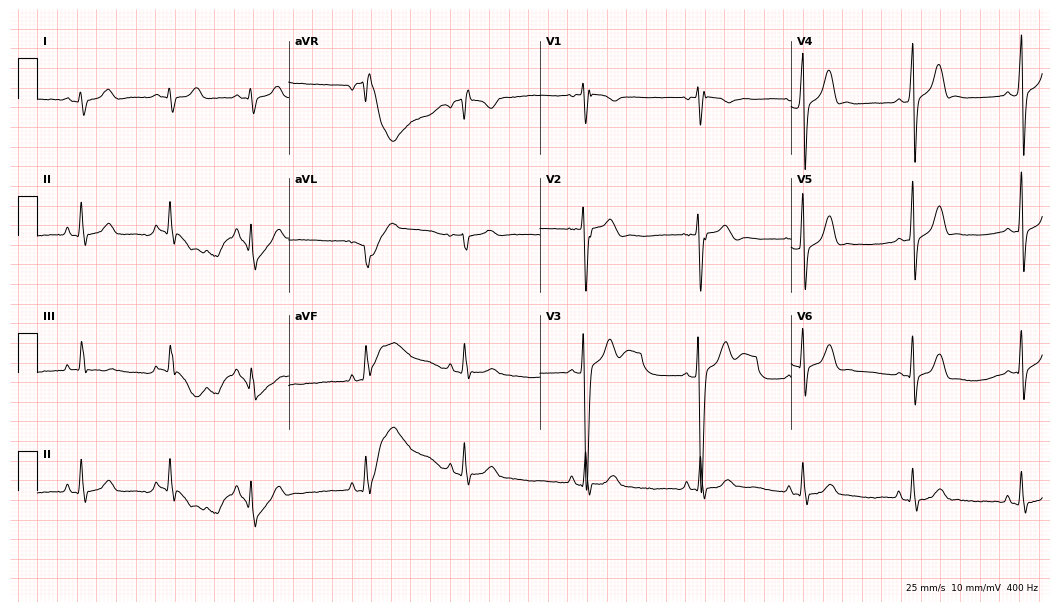
Electrocardiogram (10.2-second recording at 400 Hz), a male patient, 25 years old. Of the six screened findings (first-degree AV block, right bundle branch block, left bundle branch block, sinus bradycardia, atrial fibrillation, sinus tachycardia), none is recorded.